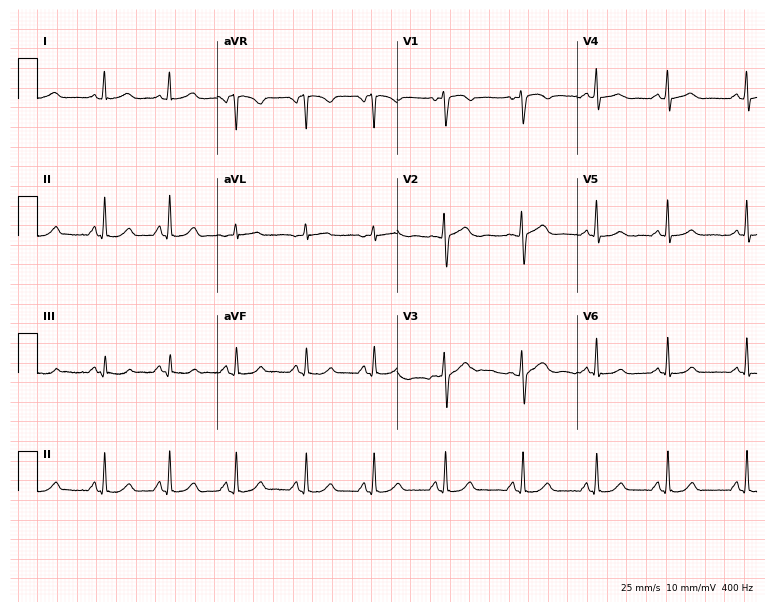
12-lead ECG from a female patient, 33 years old (7.3-second recording at 400 Hz). Recorded interpretation: within normal limits.